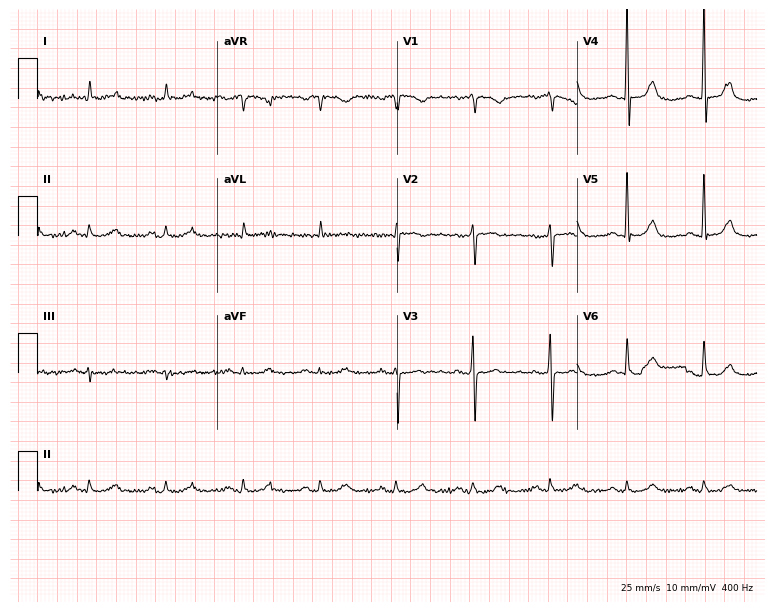
Electrocardiogram (7.3-second recording at 400 Hz), a female, 75 years old. Of the six screened findings (first-degree AV block, right bundle branch block (RBBB), left bundle branch block (LBBB), sinus bradycardia, atrial fibrillation (AF), sinus tachycardia), none is recorded. Other findings, if any, are not listed.